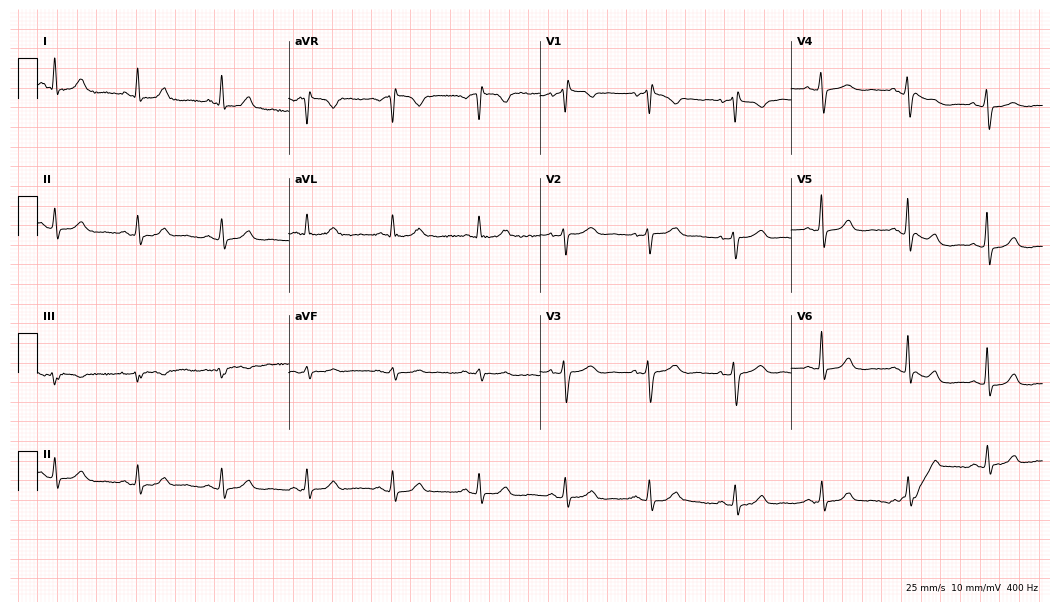
Electrocardiogram, a female patient, 67 years old. Of the six screened findings (first-degree AV block, right bundle branch block (RBBB), left bundle branch block (LBBB), sinus bradycardia, atrial fibrillation (AF), sinus tachycardia), none is recorded.